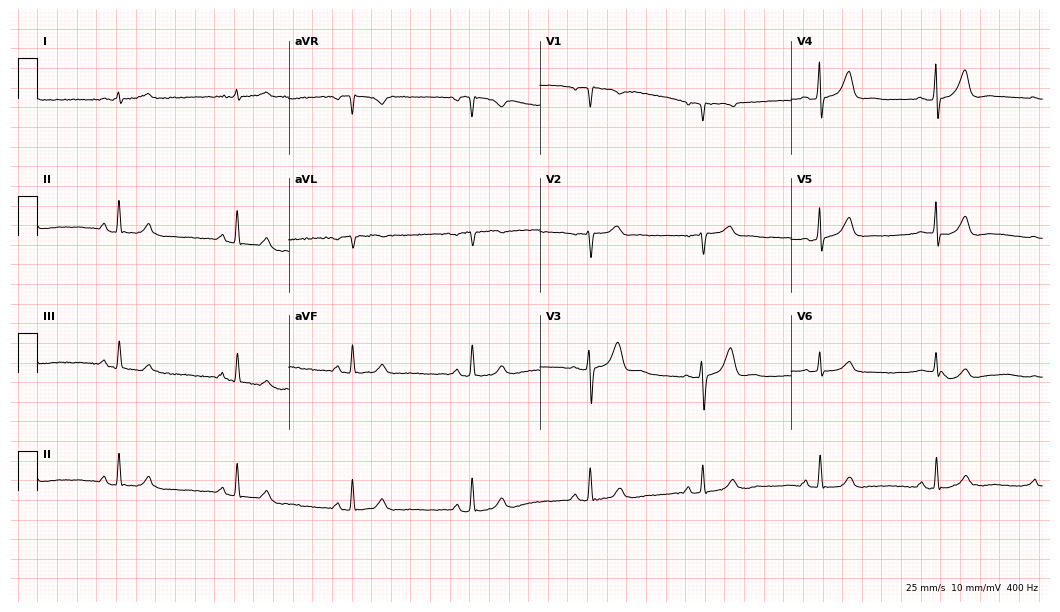
ECG — a man, 77 years old. Screened for six findings — first-degree AV block, right bundle branch block, left bundle branch block, sinus bradycardia, atrial fibrillation, sinus tachycardia — none is recorded.